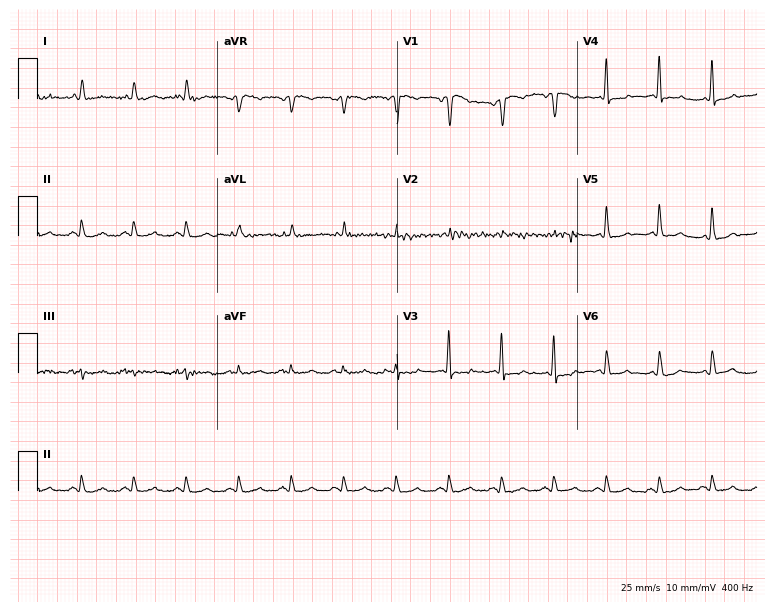
ECG — a man, 52 years old. Screened for six findings — first-degree AV block, right bundle branch block, left bundle branch block, sinus bradycardia, atrial fibrillation, sinus tachycardia — none is recorded.